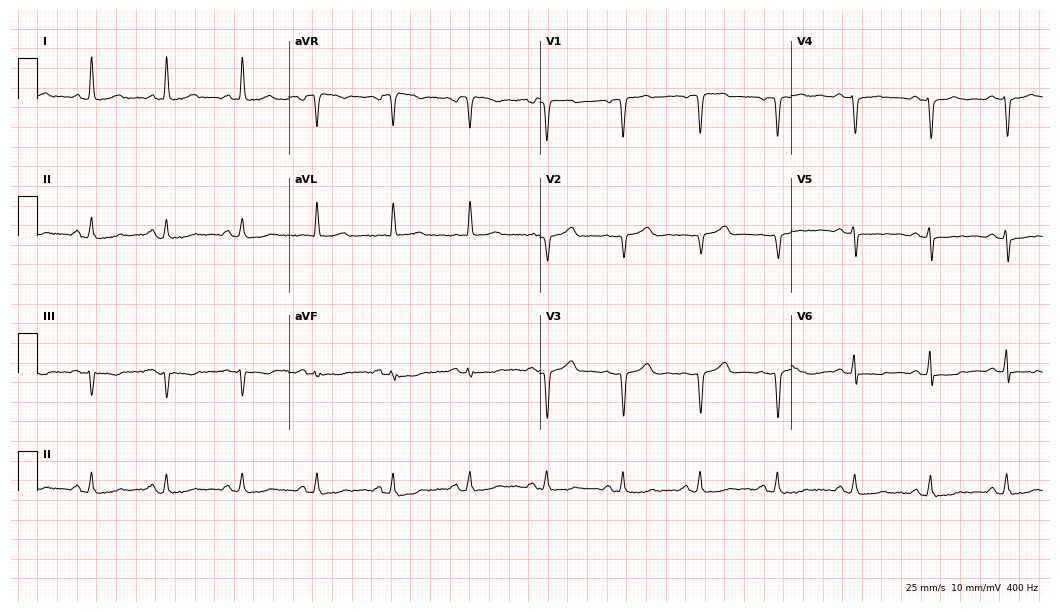
Resting 12-lead electrocardiogram (10.2-second recording at 400 Hz). Patient: a 57-year-old woman. None of these six findings is recorded: first-degree AV block, right bundle branch block (RBBB), left bundle branch block (LBBB), sinus bradycardia, atrial fibrillation (AF), sinus tachycardia. Findings outside these six are not listed.